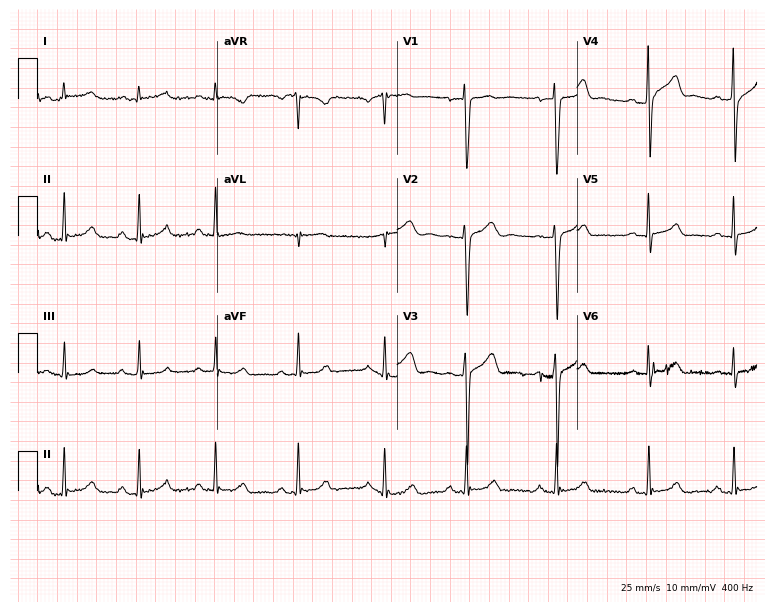
12-lead ECG from a 23-year-old male patient. Screened for six findings — first-degree AV block, right bundle branch block, left bundle branch block, sinus bradycardia, atrial fibrillation, sinus tachycardia — none is recorded.